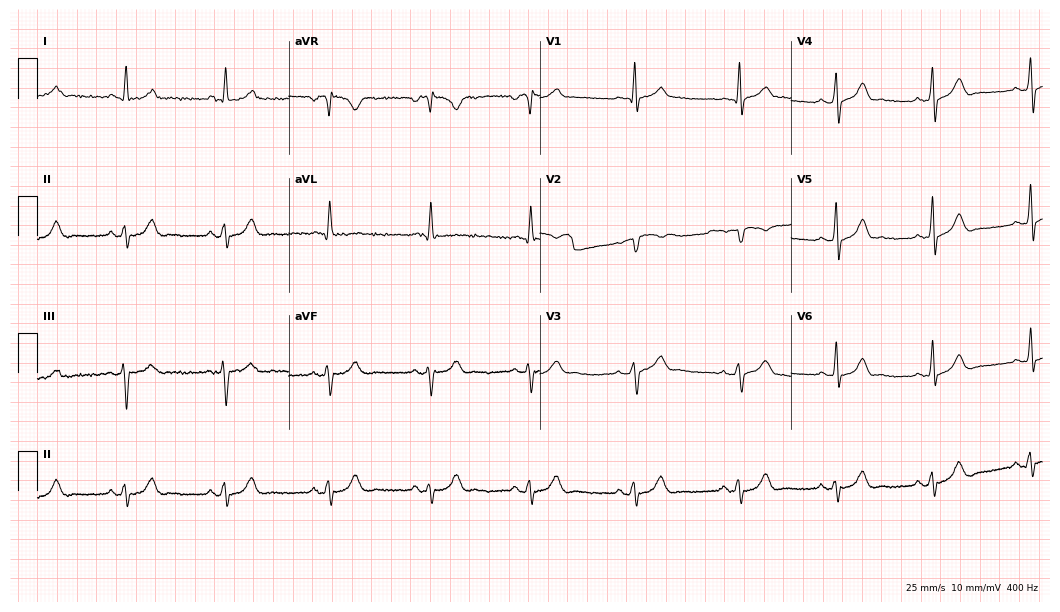
ECG — a man, 55 years old. Screened for six findings — first-degree AV block, right bundle branch block, left bundle branch block, sinus bradycardia, atrial fibrillation, sinus tachycardia — none is recorded. Findings outside these six are not listed.